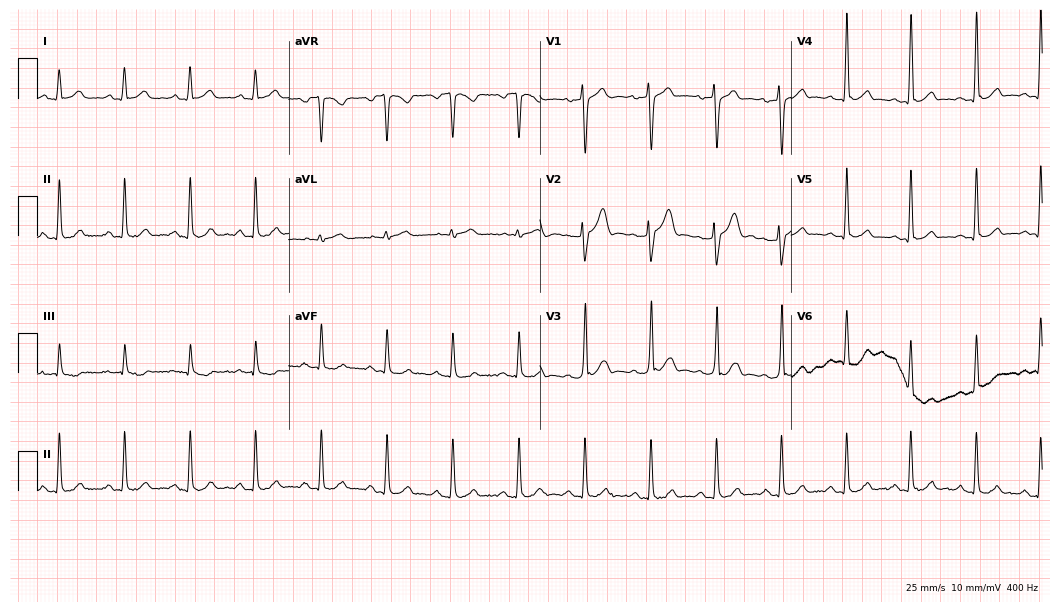
Standard 12-lead ECG recorded from a 32-year-old male patient (10.2-second recording at 400 Hz). Read as a normal ECG.